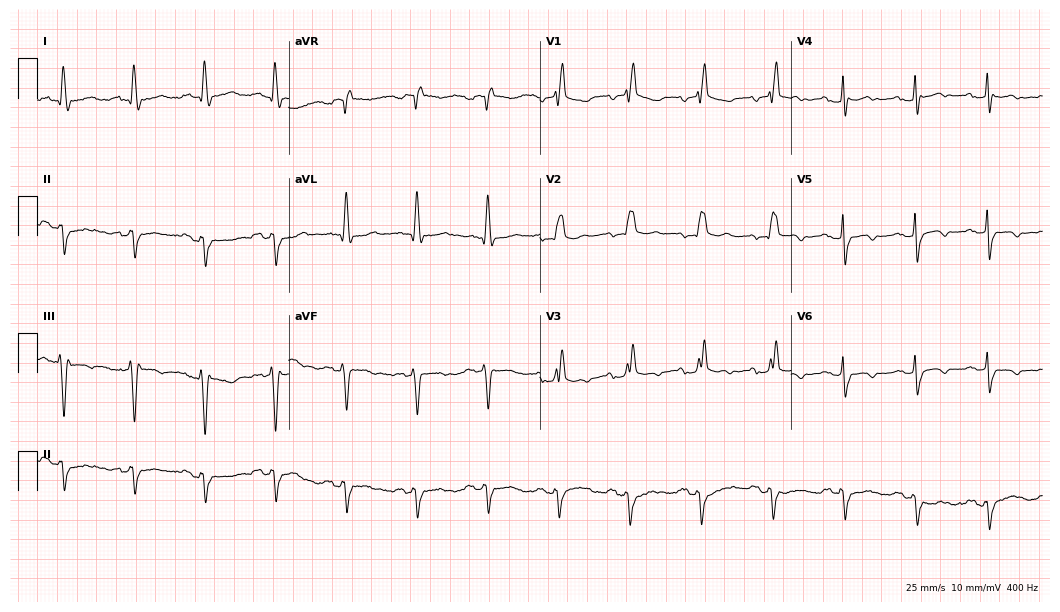
12-lead ECG from a female, 85 years old. No first-degree AV block, right bundle branch block, left bundle branch block, sinus bradycardia, atrial fibrillation or sinus tachycardia recorded for this tracing.